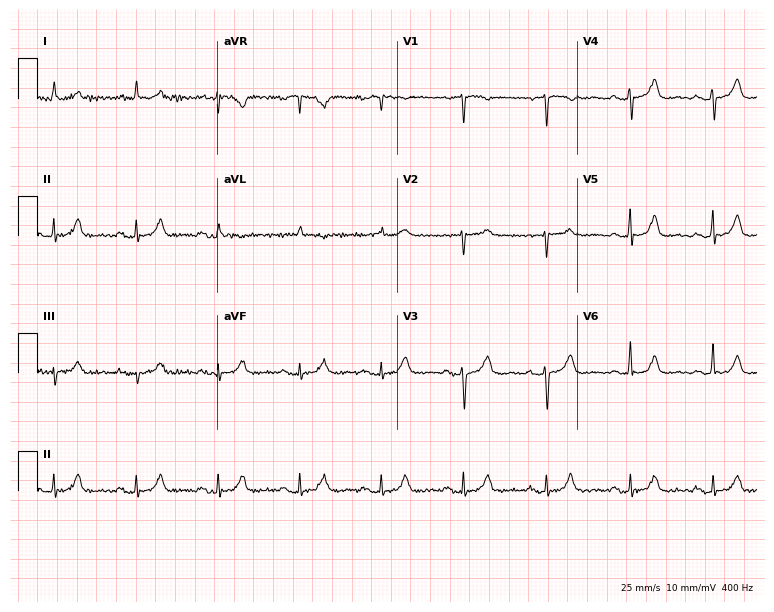
Resting 12-lead electrocardiogram. Patient: a man, 71 years old. Read as a normal ECG.